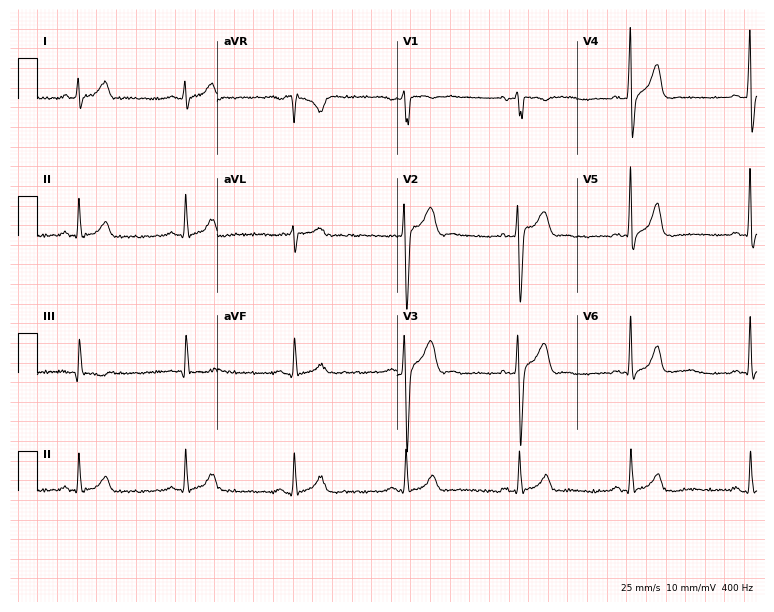
Electrocardiogram (7.3-second recording at 400 Hz), a 55-year-old male patient. Overall reading on record: normal ECG.